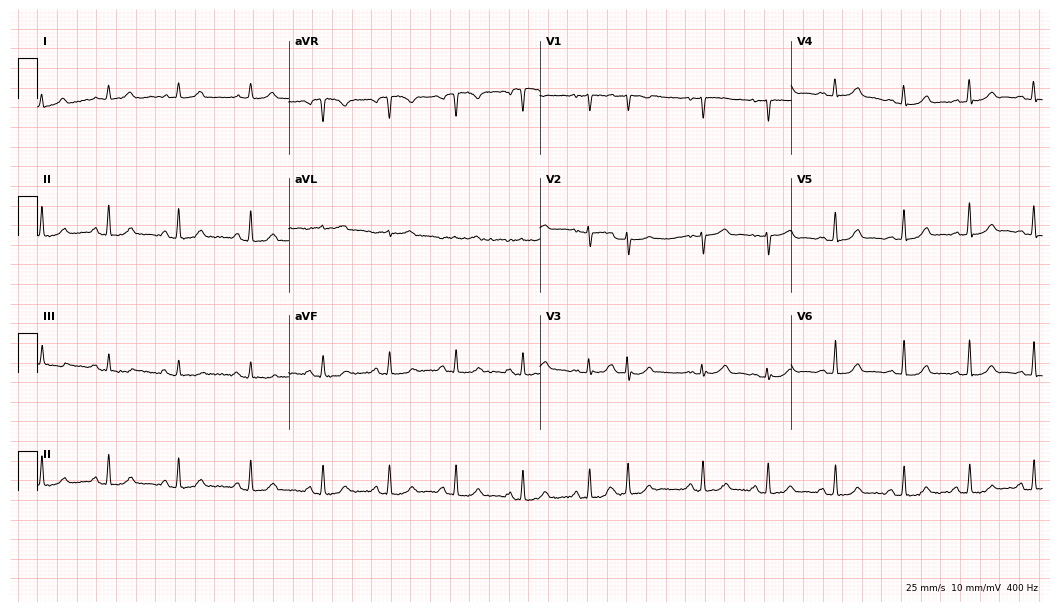
12-lead ECG from a woman, 47 years old. Recorded interpretation: within normal limits.